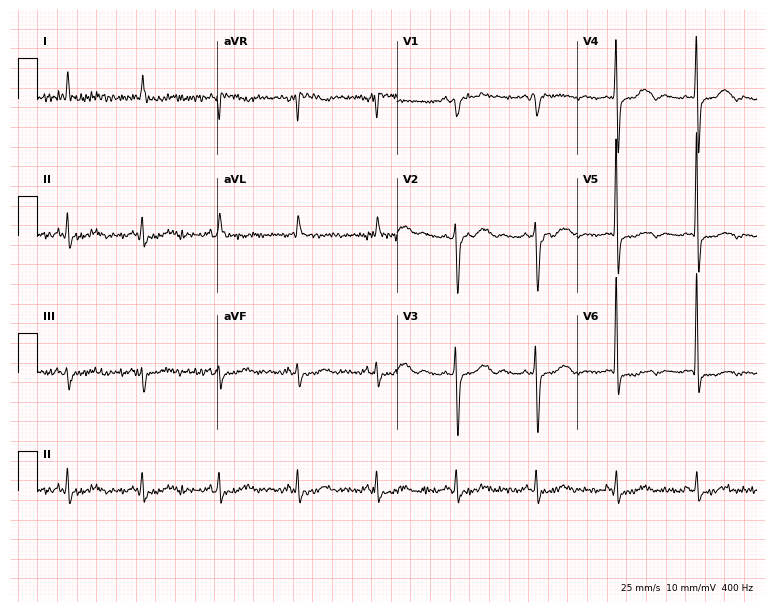
12-lead ECG from a female patient, 84 years old. Screened for six findings — first-degree AV block, right bundle branch block (RBBB), left bundle branch block (LBBB), sinus bradycardia, atrial fibrillation (AF), sinus tachycardia — none is recorded.